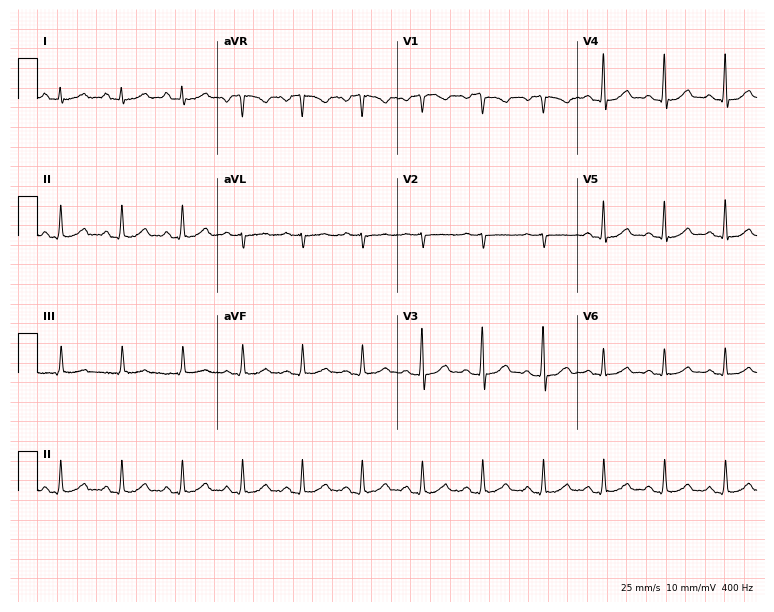
Electrocardiogram, a male, 44 years old. Of the six screened findings (first-degree AV block, right bundle branch block, left bundle branch block, sinus bradycardia, atrial fibrillation, sinus tachycardia), none is recorded.